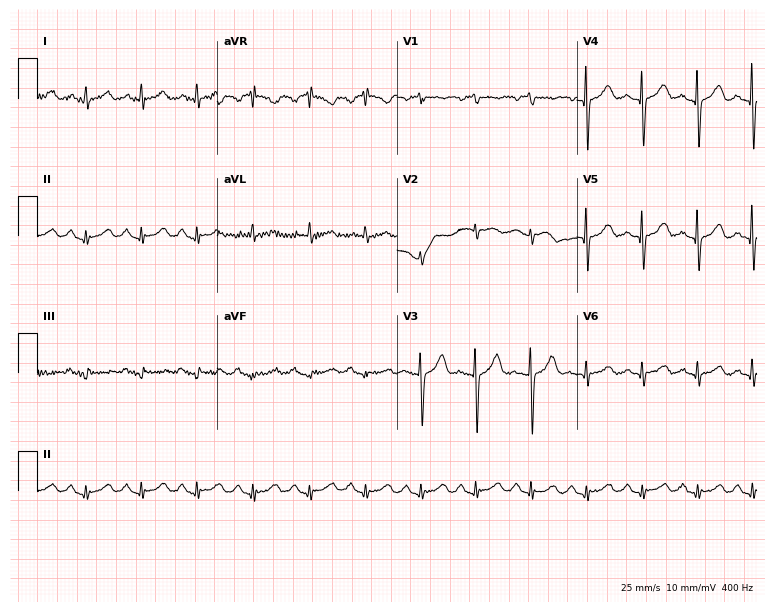
Electrocardiogram, a 62-year-old female. Of the six screened findings (first-degree AV block, right bundle branch block, left bundle branch block, sinus bradycardia, atrial fibrillation, sinus tachycardia), none is recorded. Findings outside these six are not listed.